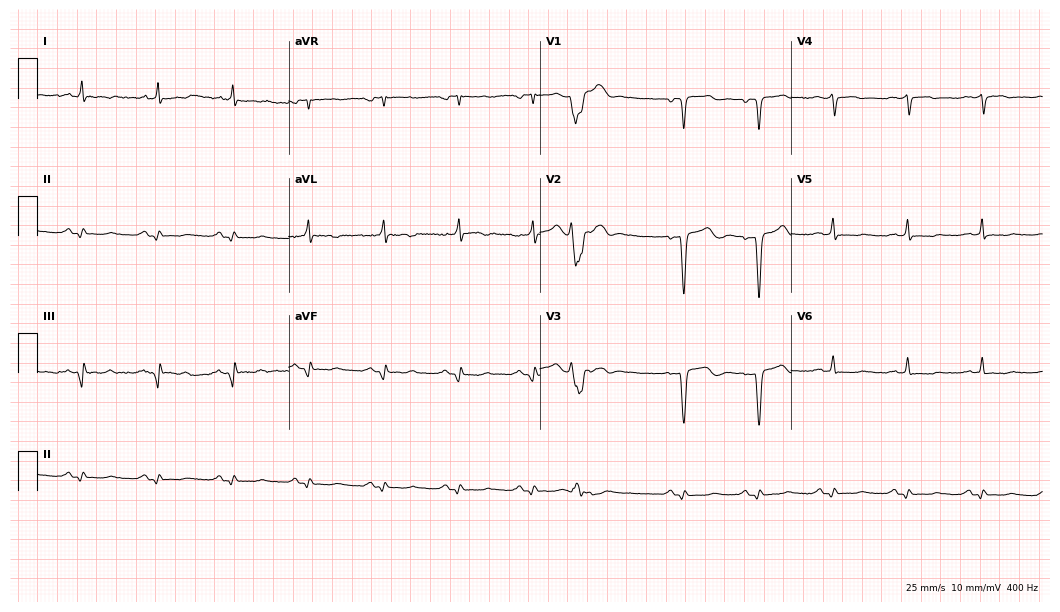
12-lead ECG from a woman, 45 years old. Screened for six findings — first-degree AV block, right bundle branch block, left bundle branch block, sinus bradycardia, atrial fibrillation, sinus tachycardia — none is recorded.